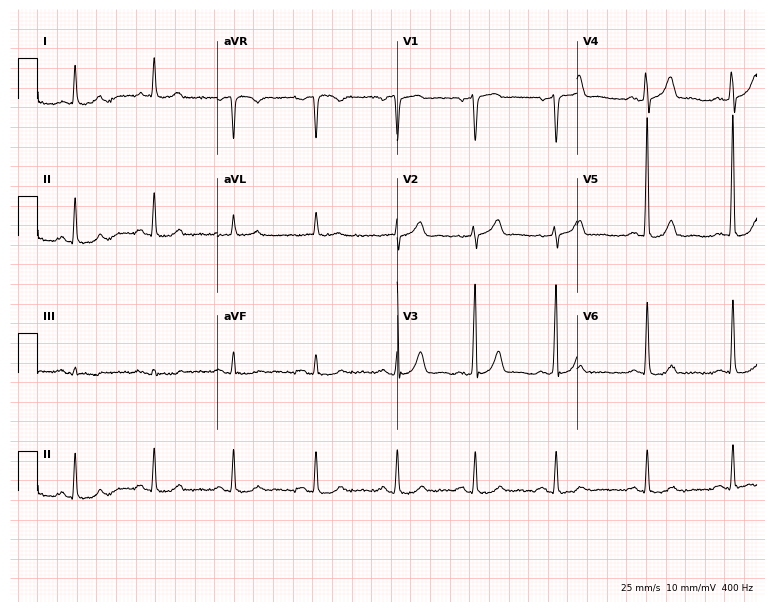
ECG — a male patient, 68 years old. Screened for six findings — first-degree AV block, right bundle branch block (RBBB), left bundle branch block (LBBB), sinus bradycardia, atrial fibrillation (AF), sinus tachycardia — none is recorded.